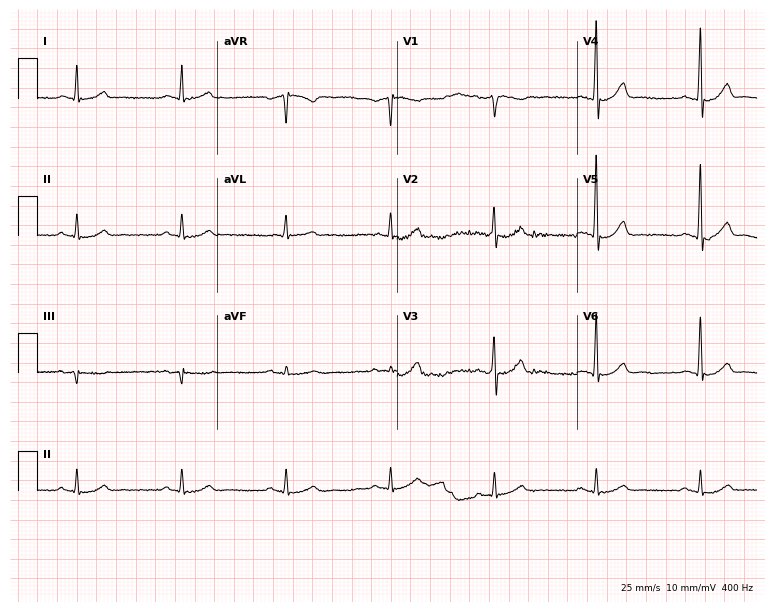
Standard 12-lead ECG recorded from a 58-year-old male. None of these six findings is recorded: first-degree AV block, right bundle branch block, left bundle branch block, sinus bradycardia, atrial fibrillation, sinus tachycardia.